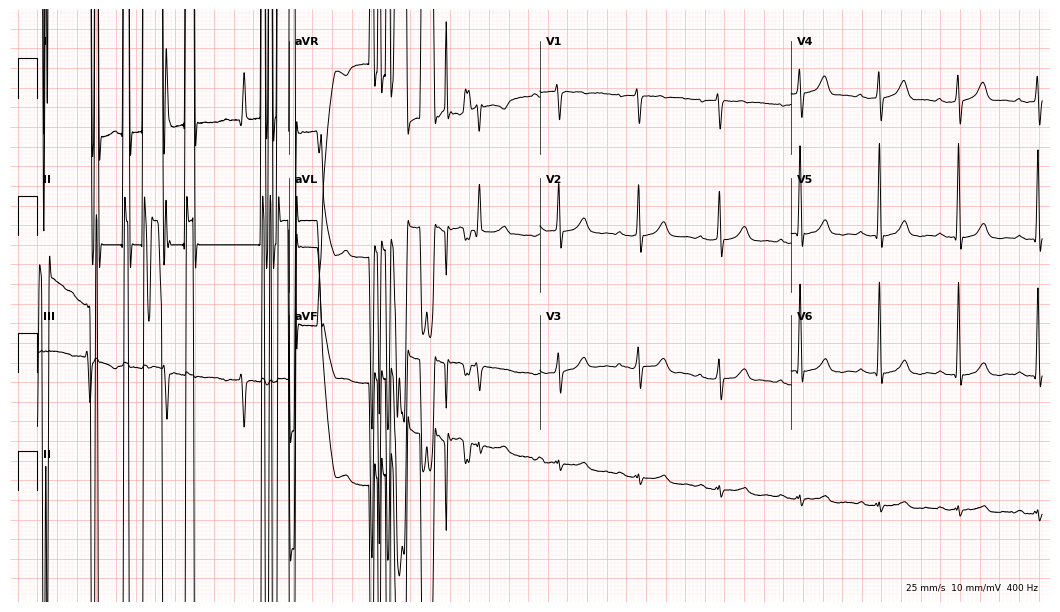
Electrocardiogram, a 58-year-old male patient. Of the six screened findings (first-degree AV block, right bundle branch block (RBBB), left bundle branch block (LBBB), sinus bradycardia, atrial fibrillation (AF), sinus tachycardia), none is recorded.